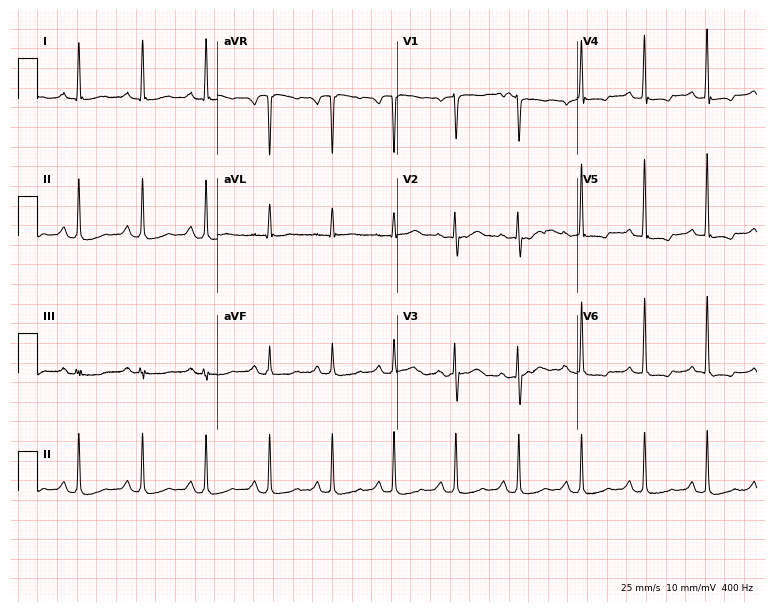
12-lead ECG from a 50-year-old woman. No first-degree AV block, right bundle branch block, left bundle branch block, sinus bradycardia, atrial fibrillation or sinus tachycardia recorded for this tracing. Findings outside these six are not listed.